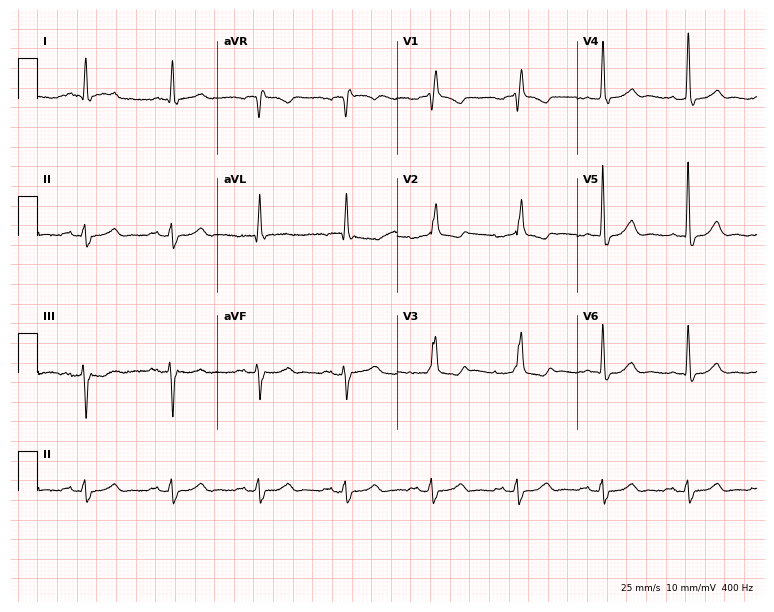
Standard 12-lead ECG recorded from a female patient, 67 years old (7.3-second recording at 400 Hz). The tracing shows right bundle branch block.